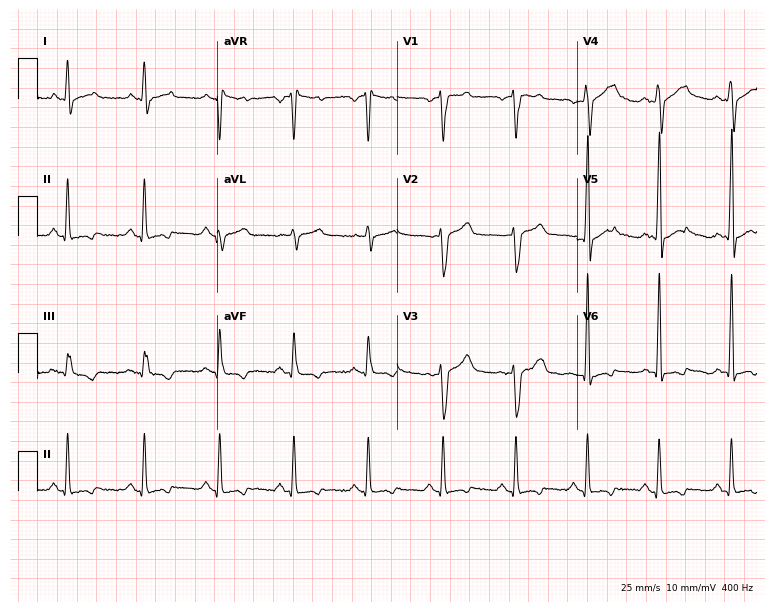
ECG (7.3-second recording at 400 Hz) — a 46-year-old male patient. Screened for six findings — first-degree AV block, right bundle branch block (RBBB), left bundle branch block (LBBB), sinus bradycardia, atrial fibrillation (AF), sinus tachycardia — none is recorded.